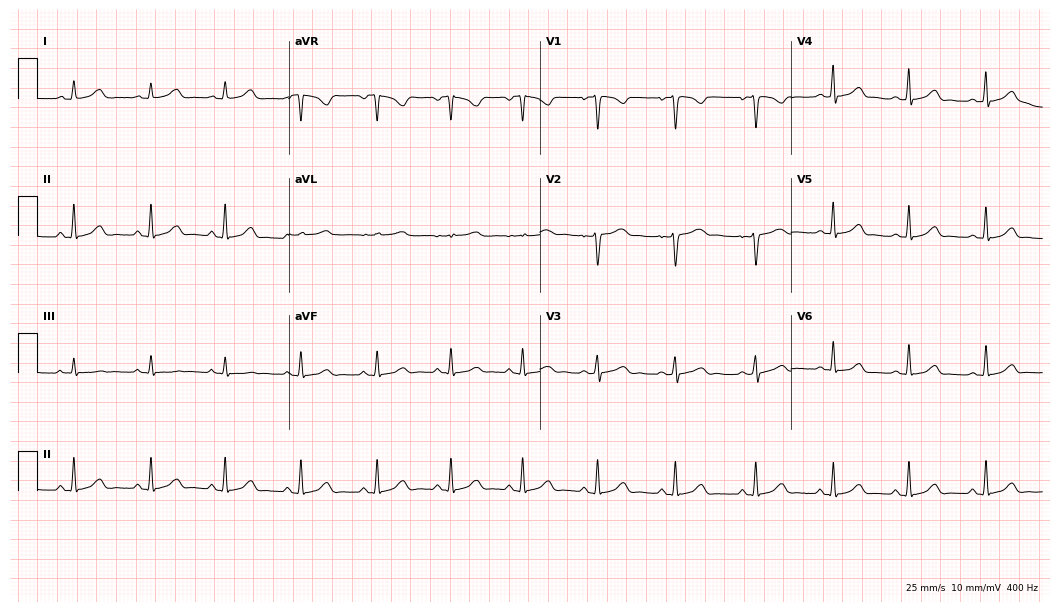
Standard 12-lead ECG recorded from a 30-year-old female. Read as a normal ECG.